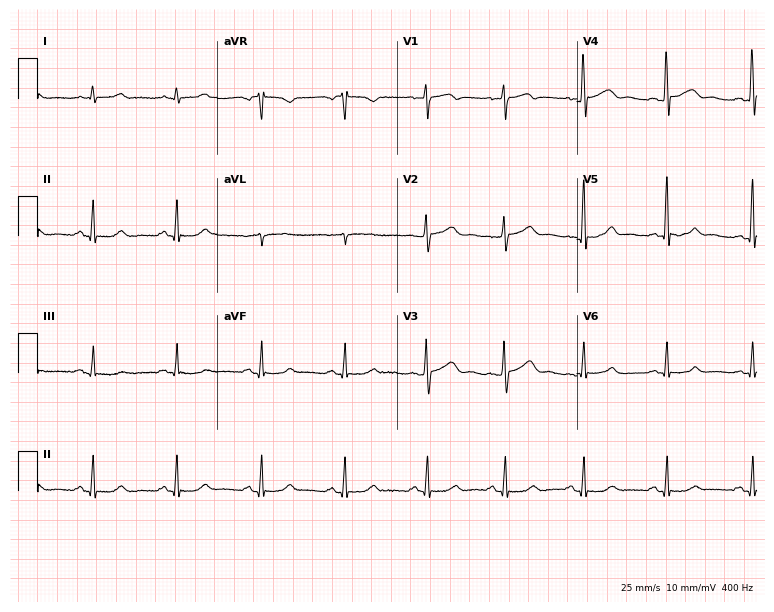
Standard 12-lead ECG recorded from a female, 55 years old (7.3-second recording at 400 Hz). Read as a normal ECG.